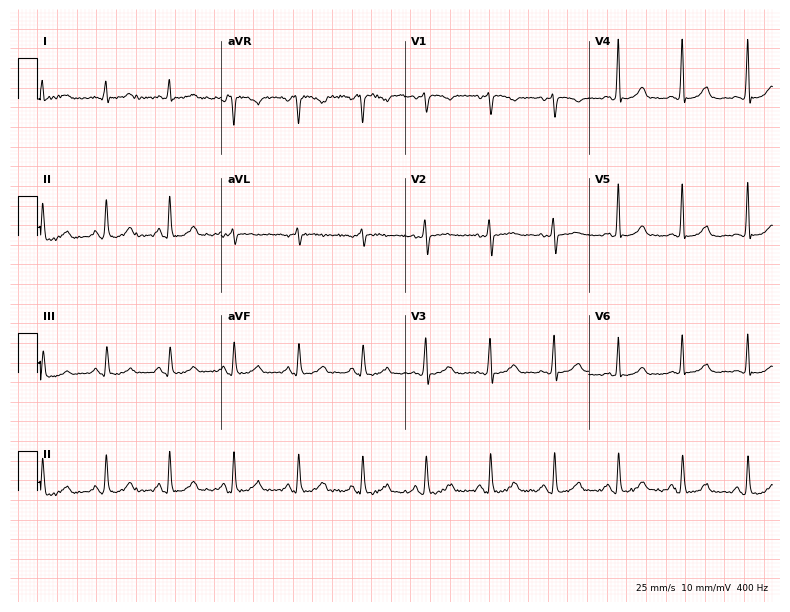
ECG (7.5-second recording at 400 Hz) — a 60-year-old female patient. Screened for six findings — first-degree AV block, right bundle branch block, left bundle branch block, sinus bradycardia, atrial fibrillation, sinus tachycardia — none is recorded.